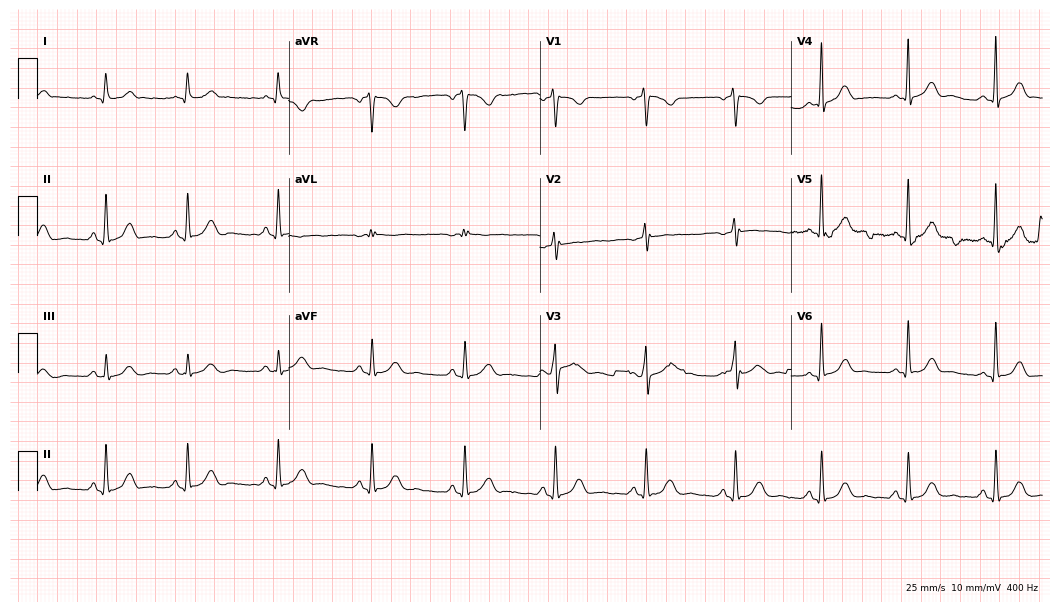
12-lead ECG from a 52-year-old female patient. Labelled as a normal ECG.